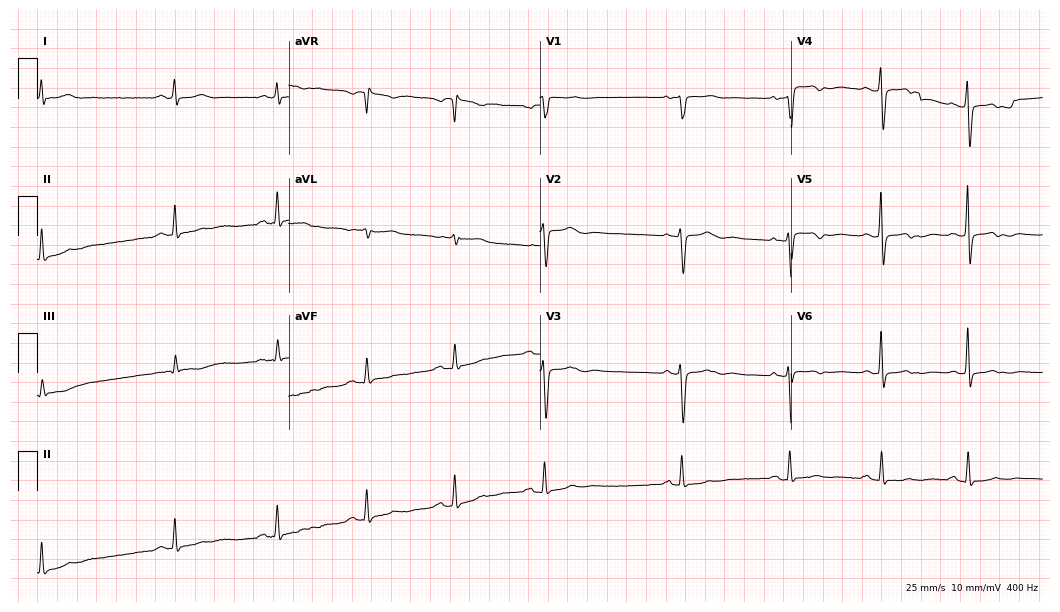
Electrocardiogram (10.2-second recording at 400 Hz), a woman, 75 years old. Of the six screened findings (first-degree AV block, right bundle branch block, left bundle branch block, sinus bradycardia, atrial fibrillation, sinus tachycardia), none is recorded. Other findings, if any, are not listed.